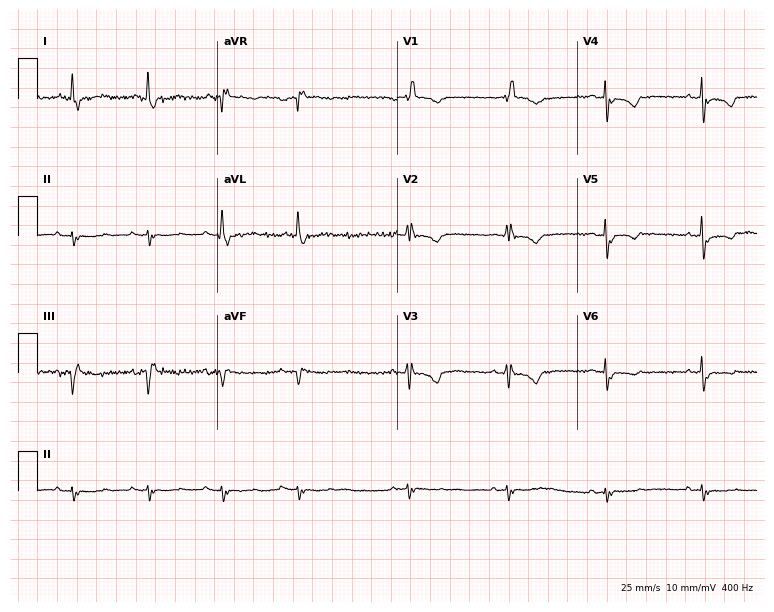
Resting 12-lead electrocardiogram (7.3-second recording at 400 Hz). Patient: an 81-year-old woman. None of these six findings is recorded: first-degree AV block, right bundle branch block (RBBB), left bundle branch block (LBBB), sinus bradycardia, atrial fibrillation (AF), sinus tachycardia.